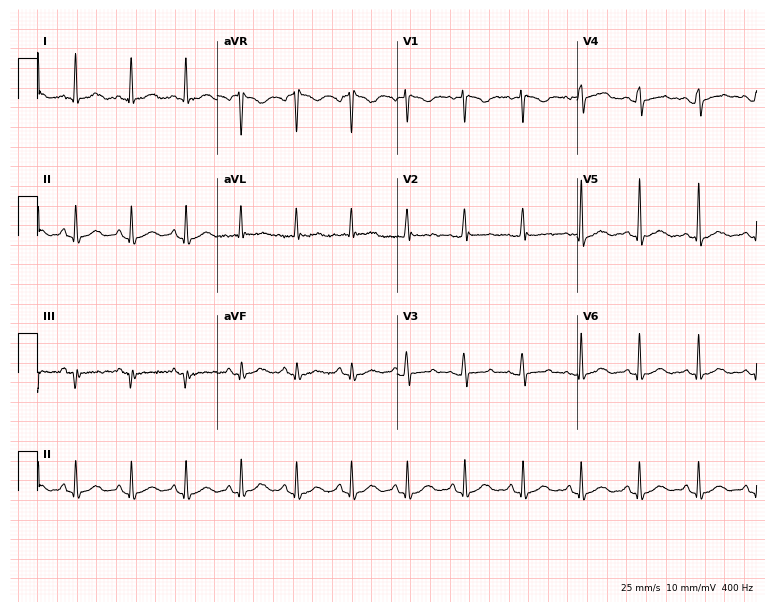
12-lead ECG from a woman, 36 years old (7.3-second recording at 400 Hz). Shows sinus tachycardia (a sinus rate of 100 beats per minute or more).